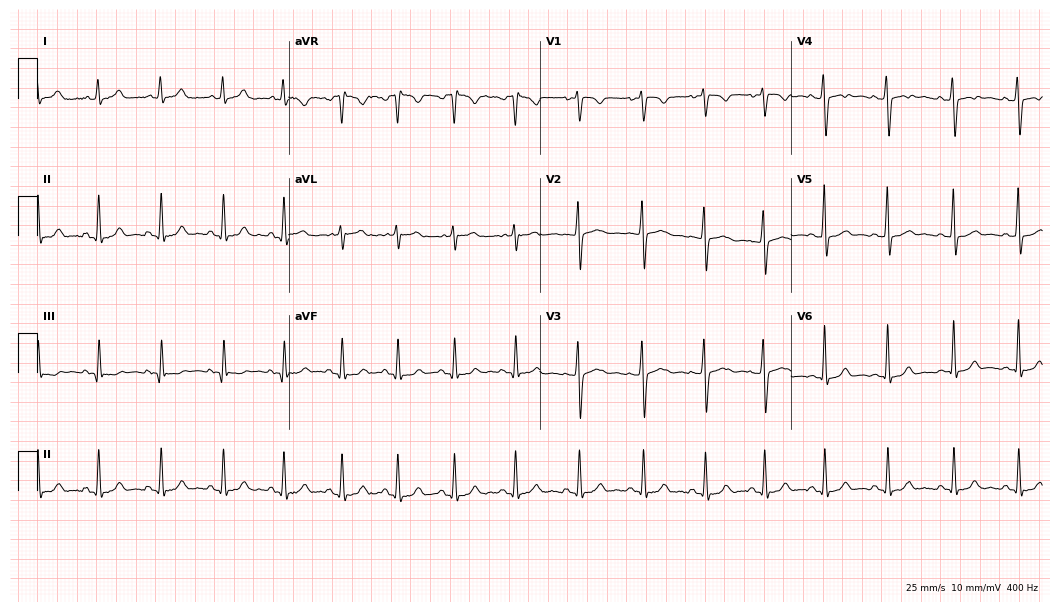
Standard 12-lead ECG recorded from a 17-year-old female patient. Read as a normal ECG.